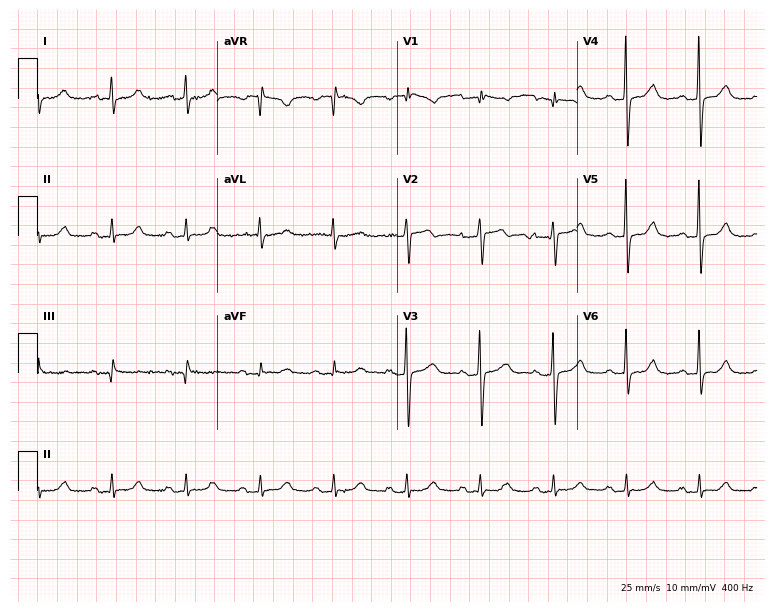
Electrocardiogram (7.3-second recording at 400 Hz), a woman, 83 years old. Of the six screened findings (first-degree AV block, right bundle branch block (RBBB), left bundle branch block (LBBB), sinus bradycardia, atrial fibrillation (AF), sinus tachycardia), none is recorded.